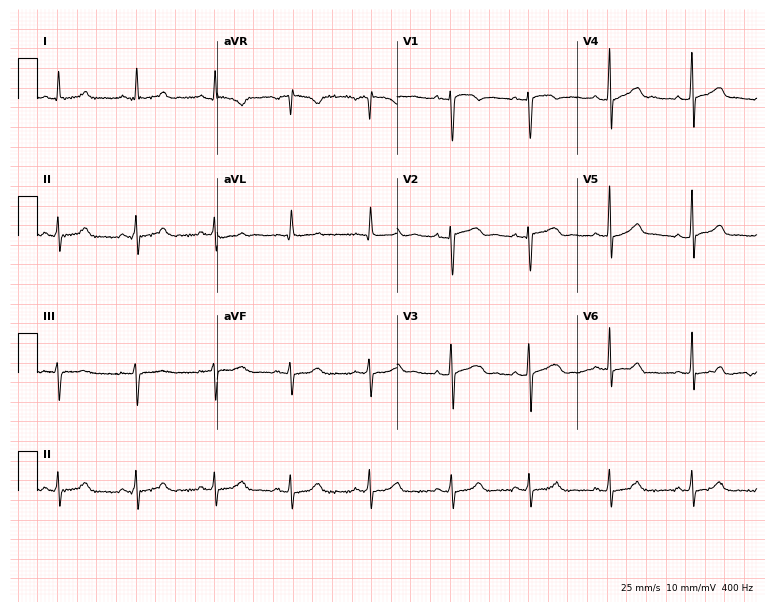
Resting 12-lead electrocardiogram. Patient: a 25-year-old female. Read as a normal ECG.